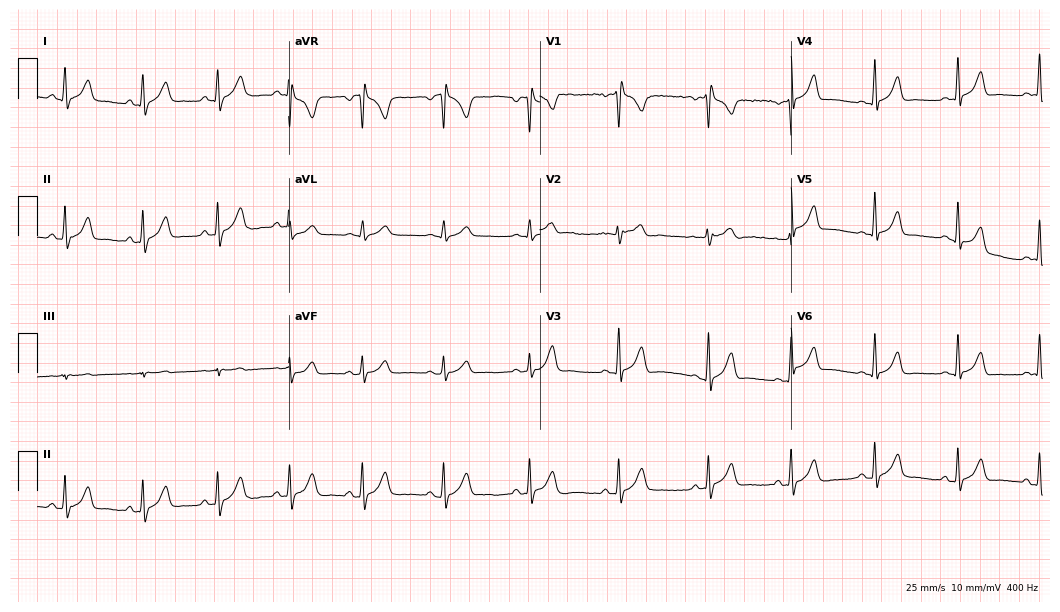
Resting 12-lead electrocardiogram. Patient: a 25-year-old woman. None of these six findings is recorded: first-degree AV block, right bundle branch block, left bundle branch block, sinus bradycardia, atrial fibrillation, sinus tachycardia. Other findings, if any, are not listed.